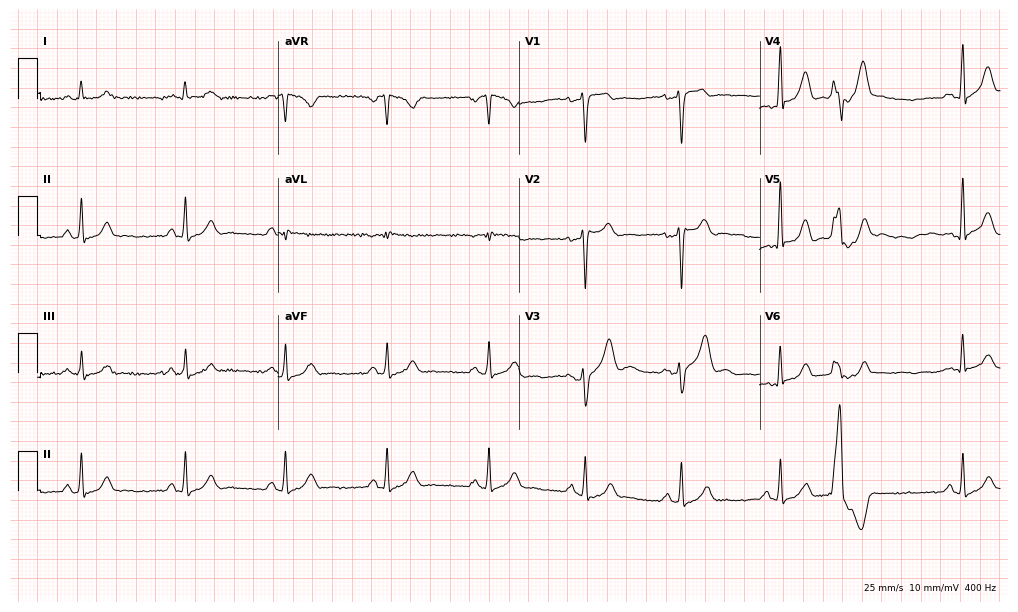
ECG (9.8-second recording at 400 Hz) — a 41-year-old man. Screened for six findings — first-degree AV block, right bundle branch block, left bundle branch block, sinus bradycardia, atrial fibrillation, sinus tachycardia — none is recorded.